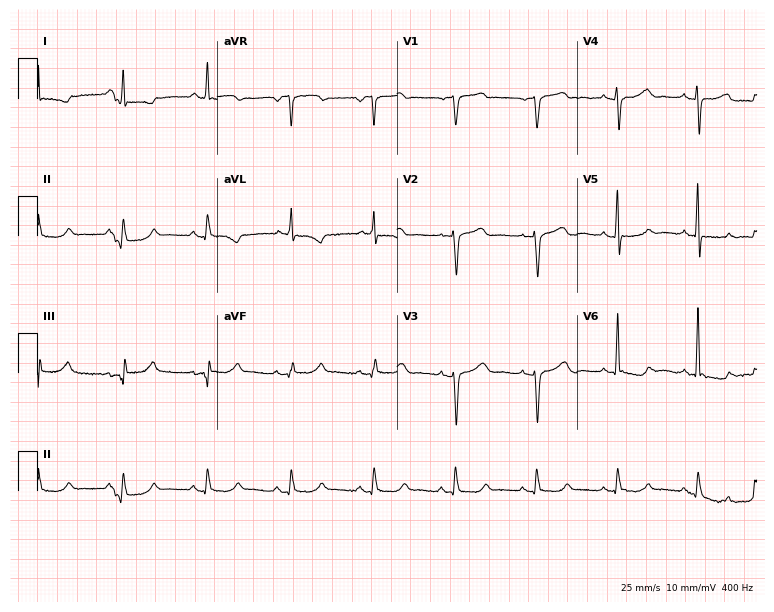
Resting 12-lead electrocardiogram. Patient: a male, 67 years old. None of these six findings is recorded: first-degree AV block, right bundle branch block, left bundle branch block, sinus bradycardia, atrial fibrillation, sinus tachycardia. Findings outside these six are not listed.